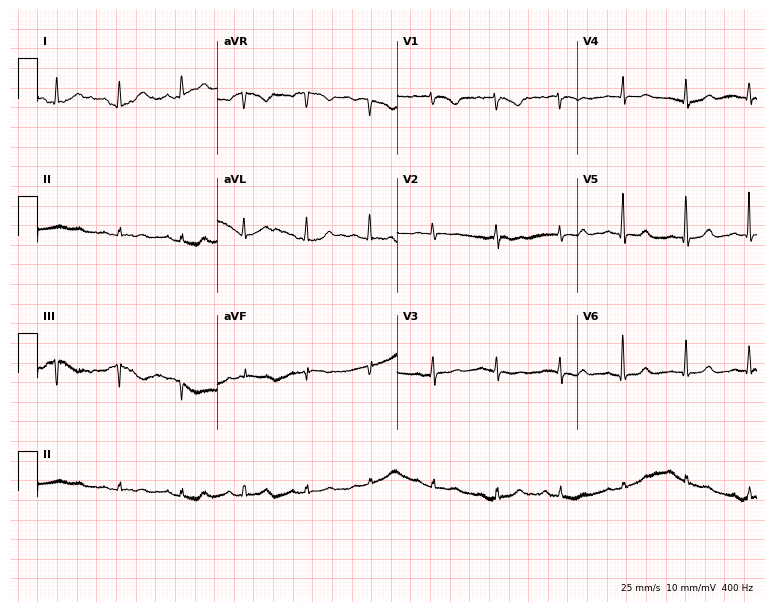
Electrocardiogram (7.3-second recording at 400 Hz), a female patient, 59 years old. Of the six screened findings (first-degree AV block, right bundle branch block, left bundle branch block, sinus bradycardia, atrial fibrillation, sinus tachycardia), none is recorded.